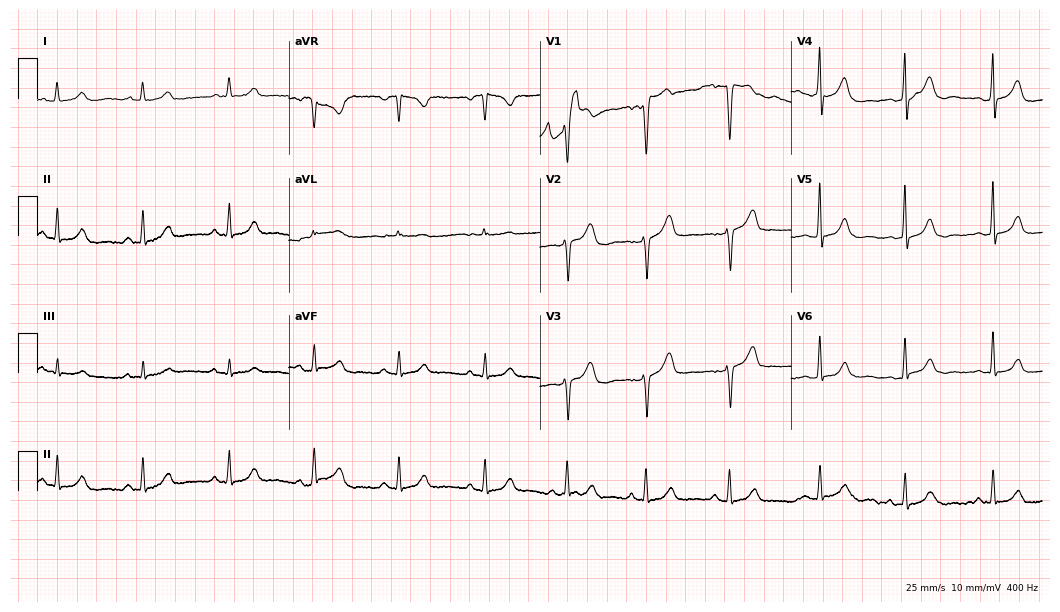
Electrocardiogram (10.2-second recording at 400 Hz), a 31-year-old female patient. Of the six screened findings (first-degree AV block, right bundle branch block, left bundle branch block, sinus bradycardia, atrial fibrillation, sinus tachycardia), none is recorded. Only these six findings were labelled.